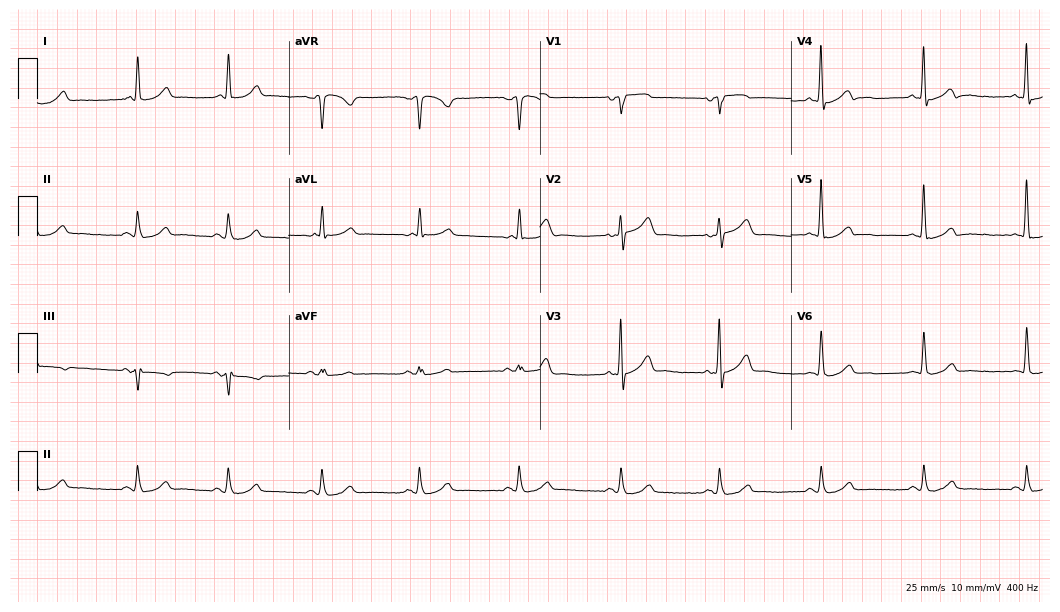
Standard 12-lead ECG recorded from a 69-year-old male (10.2-second recording at 400 Hz). Read as a normal ECG.